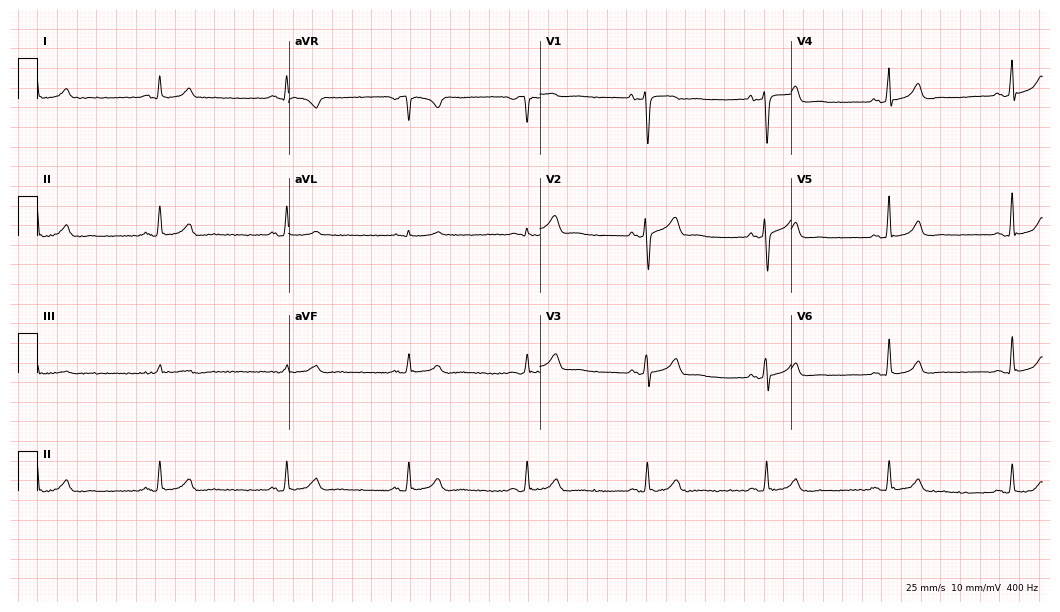
Resting 12-lead electrocardiogram. Patient: a male, 54 years old. None of these six findings is recorded: first-degree AV block, right bundle branch block, left bundle branch block, sinus bradycardia, atrial fibrillation, sinus tachycardia. Only these six findings were labelled.